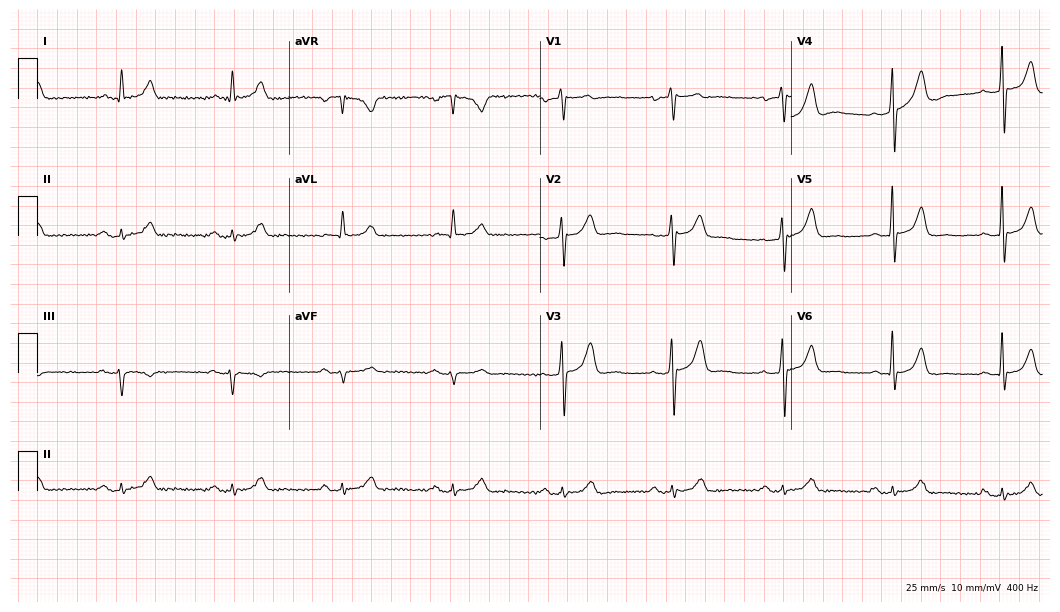
12-lead ECG from a male, 73 years old. No first-degree AV block, right bundle branch block, left bundle branch block, sinus bradycardia, atrial fibrillation or sinus tachycardia recorded for this tracing.